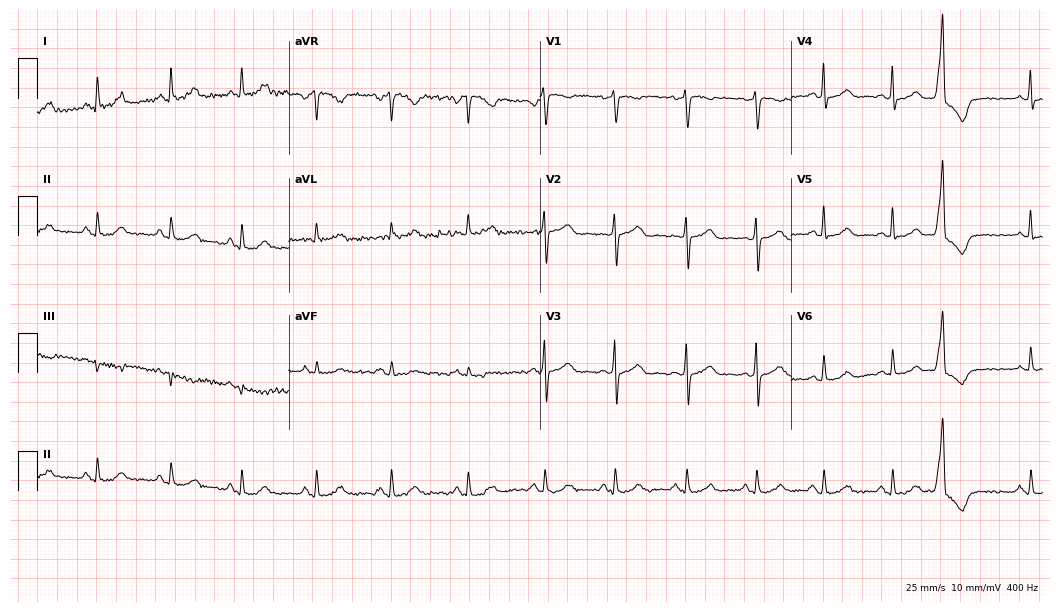
Standard 12-lead ECG recorded from a 50-year-old female (10.2-second recording at 400 Hz). Read as a normal ECG.